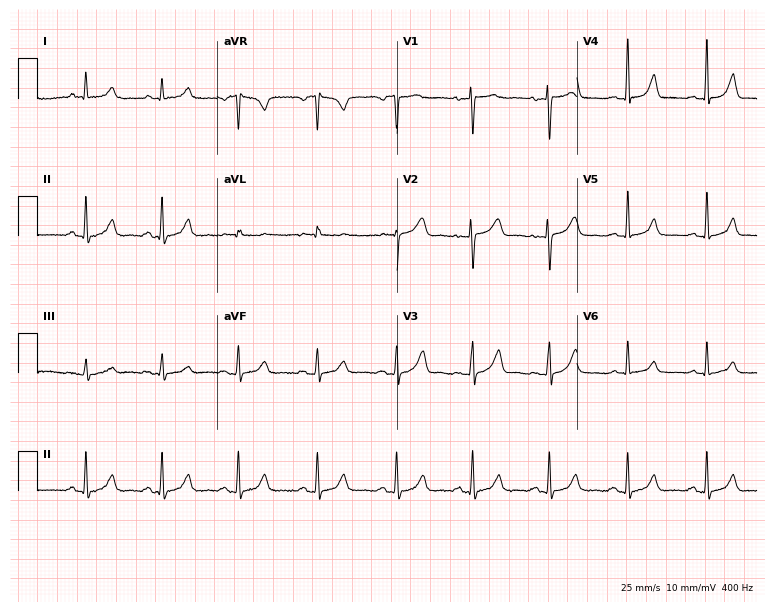
12-lead ECG (7.3-second recording at 400 Hz) from a 44-year-old female. Labelled as a normal ECG.